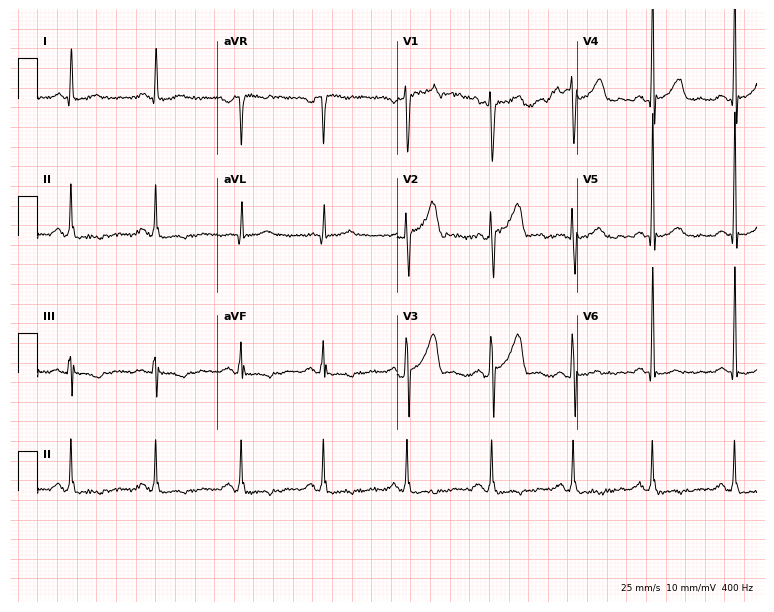
12-lead ECG from a man, 27 years old (7.3-second recording at 400 Hz). No first-degree AV block, right bundle branch block, left bundle branch block, sinus bradycardia, atrial fibrillation or sinus tachycardia recorded for this tracing. Other findings, if any, are not listed.